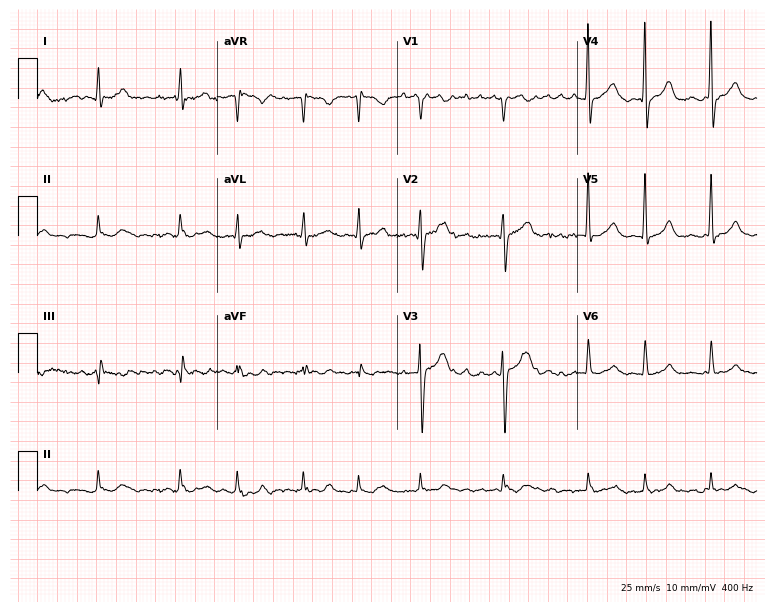
Resting 12-lead electrocardiogram (7.3-second recording at 400 Hz). Patient: a 67-year-old man. The tracing shows atrial fibrillation.